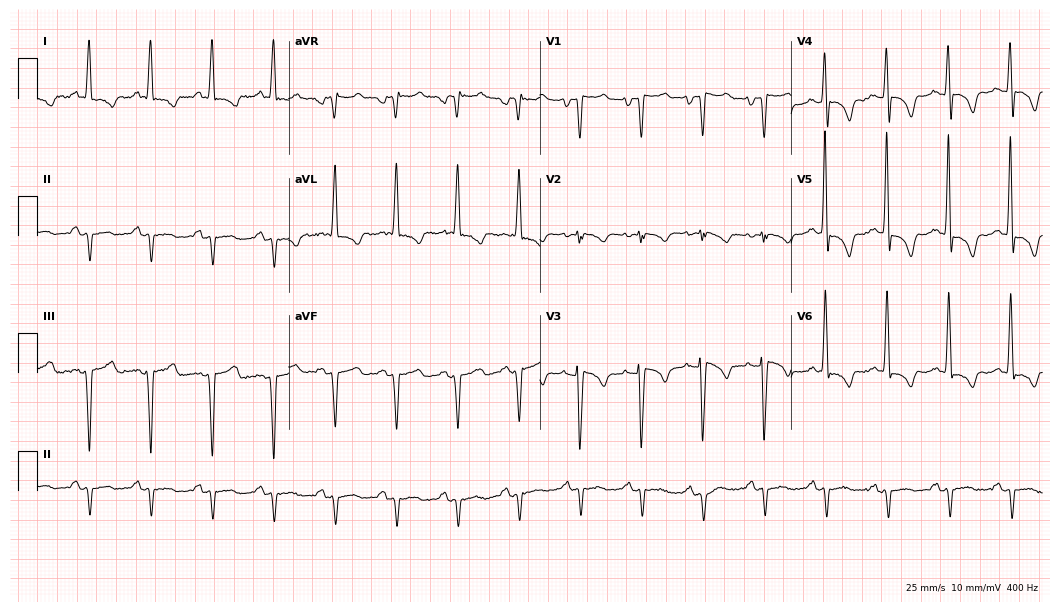
Standard 12-lead ECG recorded from a male patient, 59 years old (10.2-second recording at 400 Hz). None of these six findings is recorded: first-degree AV block, right bundle branch block, left bundle branch block, sinus bradycardia, atrial fibrillation, sinus tachycardia.